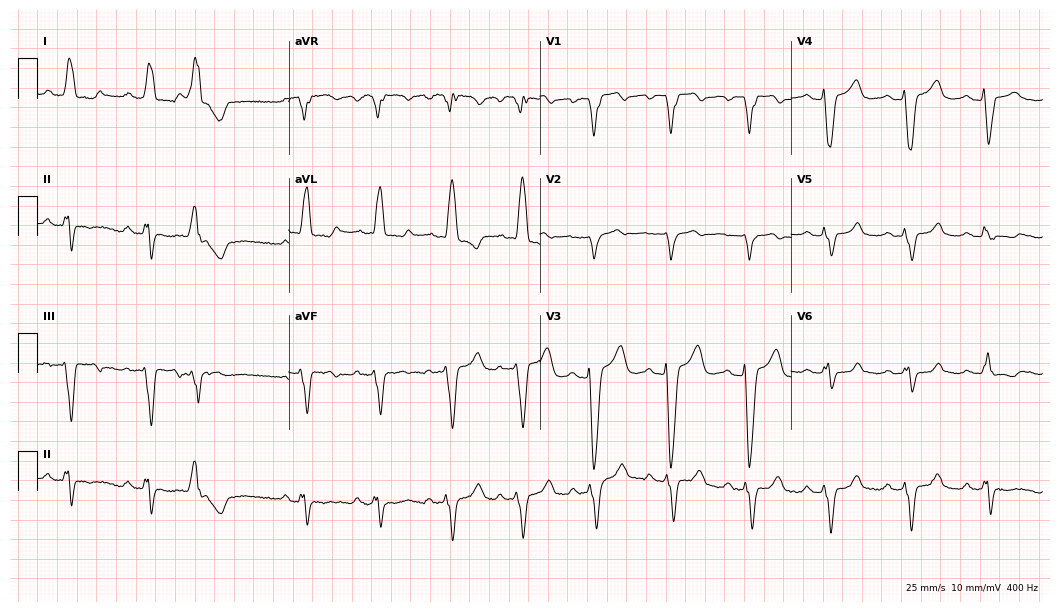
12-lead ECG from a 59-year-old woman. Findings include left bundle branch block (LBBB).